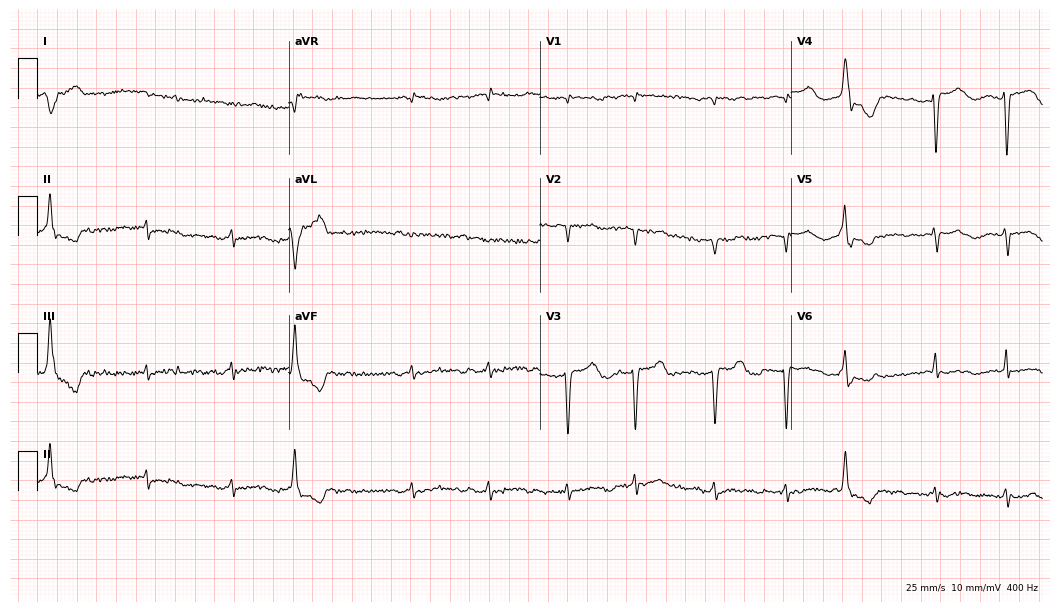
Electrocardiogram (10.2-second recording at 400 Hz), a 76-year-old woman. Interpretation includes atrial fibrillation.